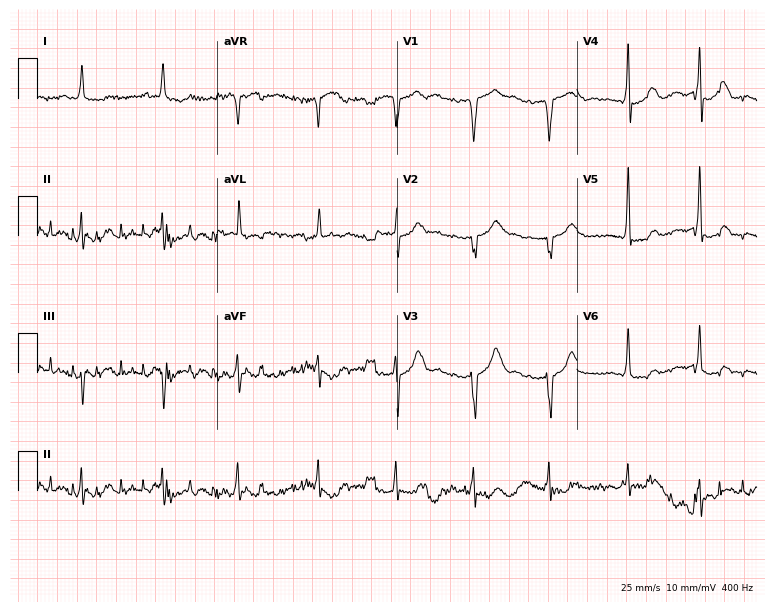
Electrocardiogram (7.3-second recording at 400 Hz), a female patient, 83 years old. Of the six screened findings (first-degree AV block, right bundle branch block, left bundle branch block, sinus bradycardia, atrial fibrillation, sinus tachycardia), none is recorded. Findings outside these six are not listed.